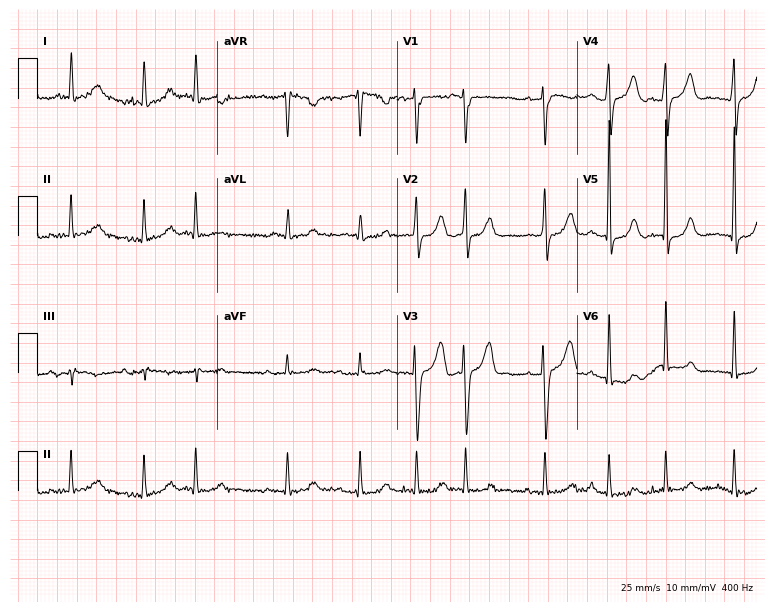
Electrocardiogram, an 80-year-old male. Interpretation includes atrial fibrillation (AF).